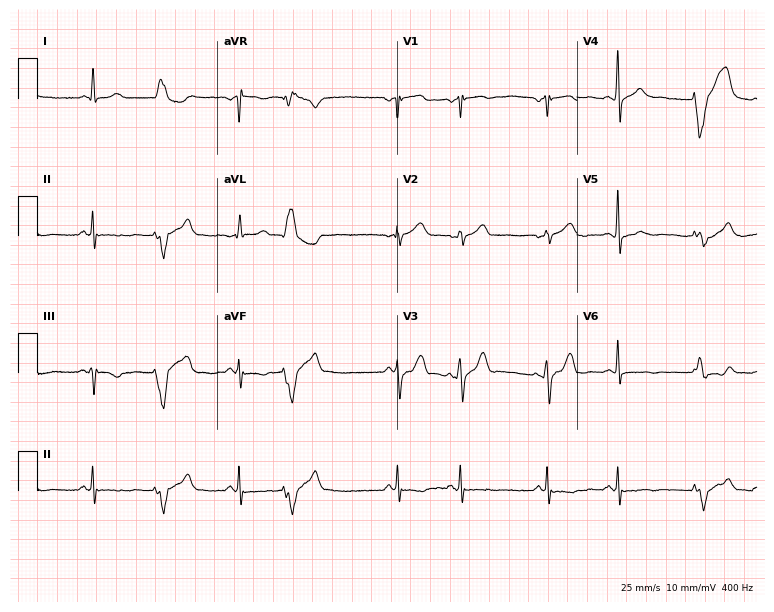
Electrocardiogram, a male patient, 66 years old. Of the six screened findings (first-degree AV block, right bundle branch block, left bundle branch block, sinus bradycardia, atrial fibrillation, sinus tachycardia), none is recorded.